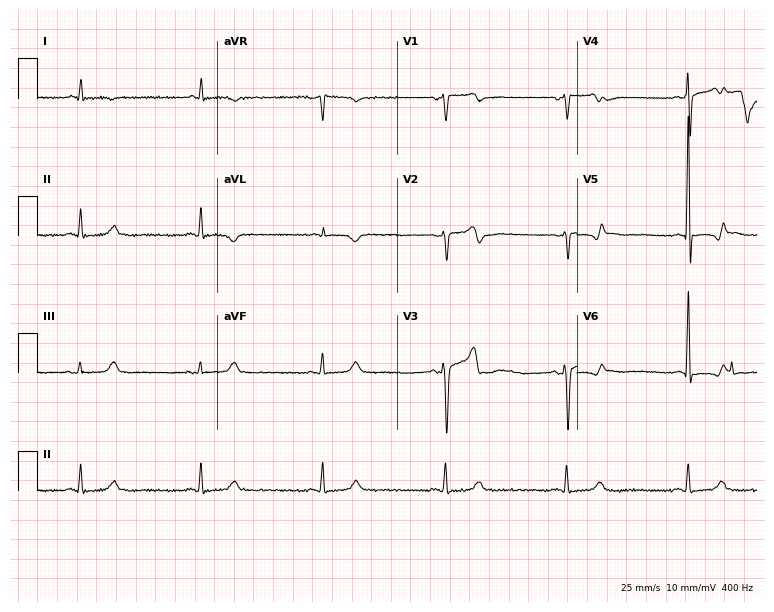
Standard 12-lead ECG recorded from a male, 78 years old. The tracing shows sinus bradycardia (a sinus rate of 50 beats per minute or less).